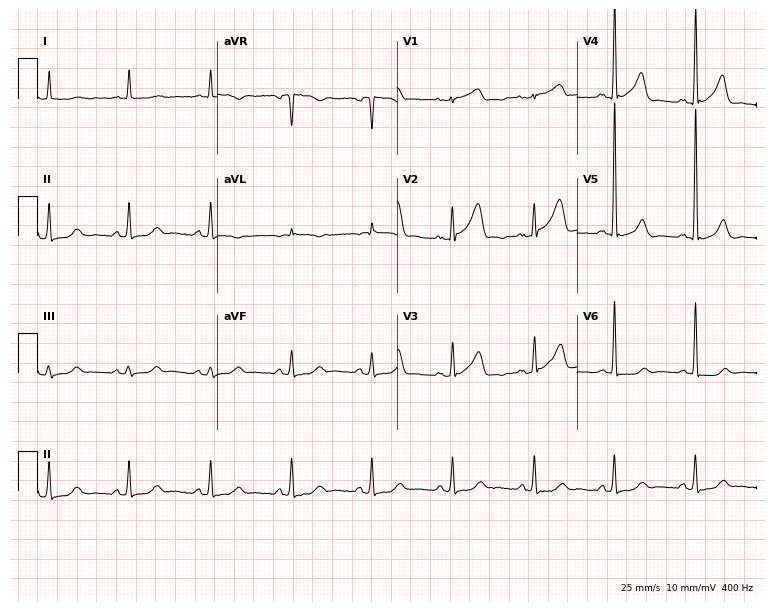
12-lead ECG from a male, 67 years old. No first-degree AV block, right bundle branch block, left bundle branch block, sinus bradycardia, atrial fibrillation or sinus tachycardia recorded for this tracing.